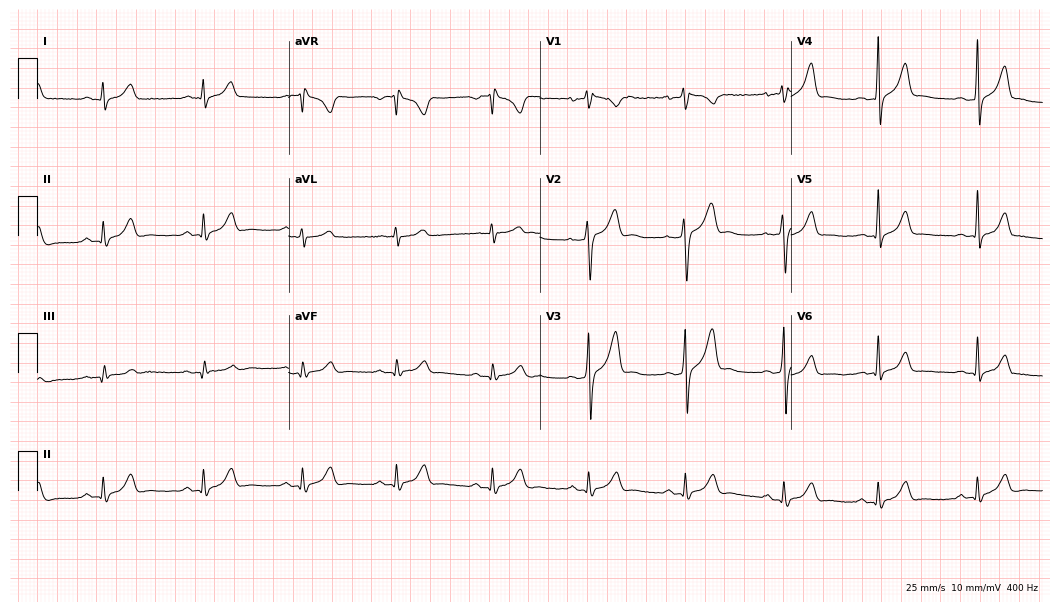
Resting 12-lead electrocardiogram (10.2-second recording at 400 Hz). Patient: a 32-year-old man. Read as a normal ECG.